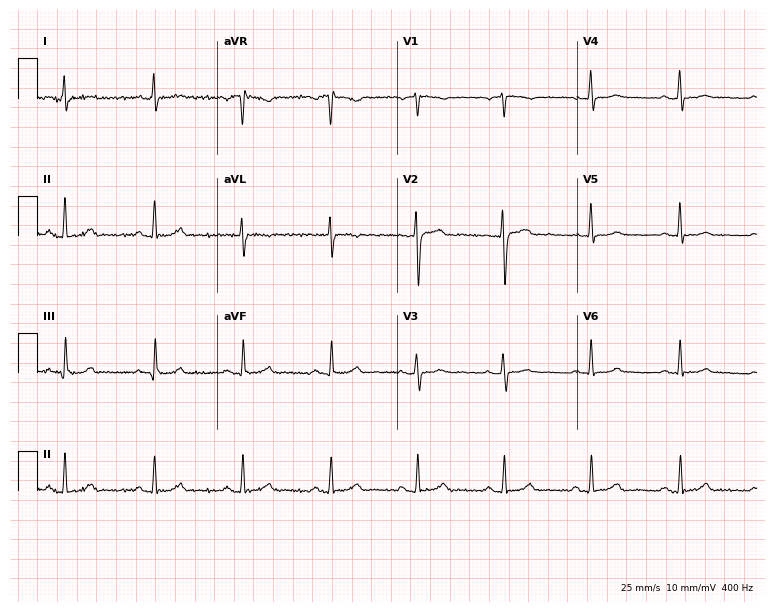
12-lead ECG from a 59-year-old female. No first-degree AV block, right bundle branch block, left bundle branch block, sinus bradycardia, atrial fibrillation or sinus tachycardia recorded for this tracing.